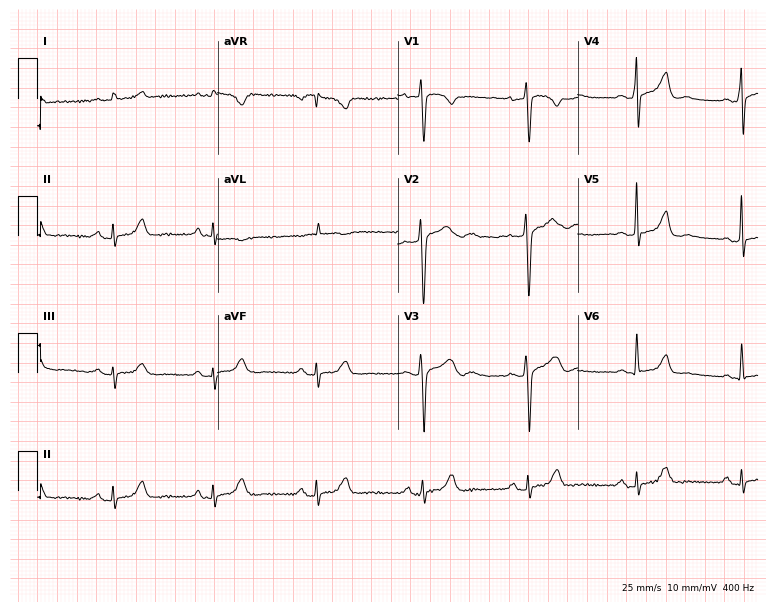
12-lead ECG from a female, 57 years old (7.3-second recording at 400 Hz). Recorded interpretation: within normal limits.